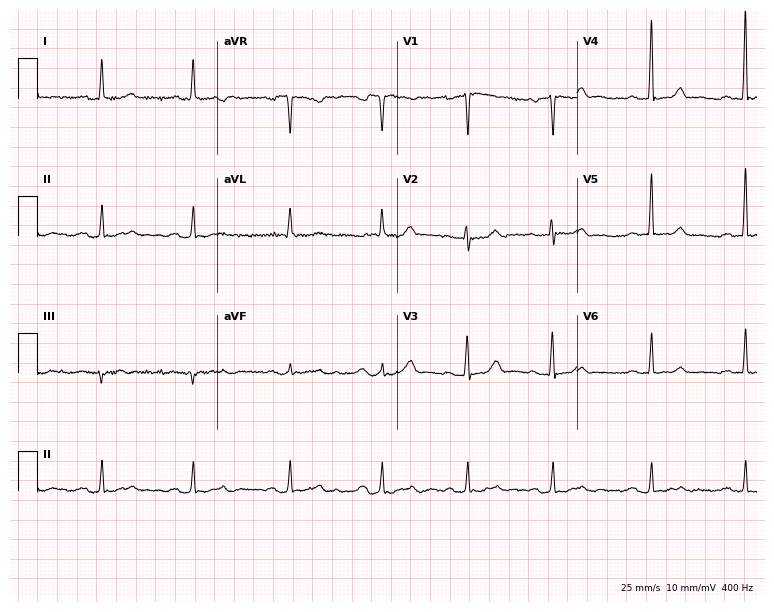
Electrocardiogram, a man, 69 years old. Of the six screened findings (first-degree AV block, right bundle branch block (RBBB), left bundle branch block (LBBB), sinus bradycardia, atrial fibrillation (AF), sinus tachycardia), none is recorded. Other findings, if any, are not listed.